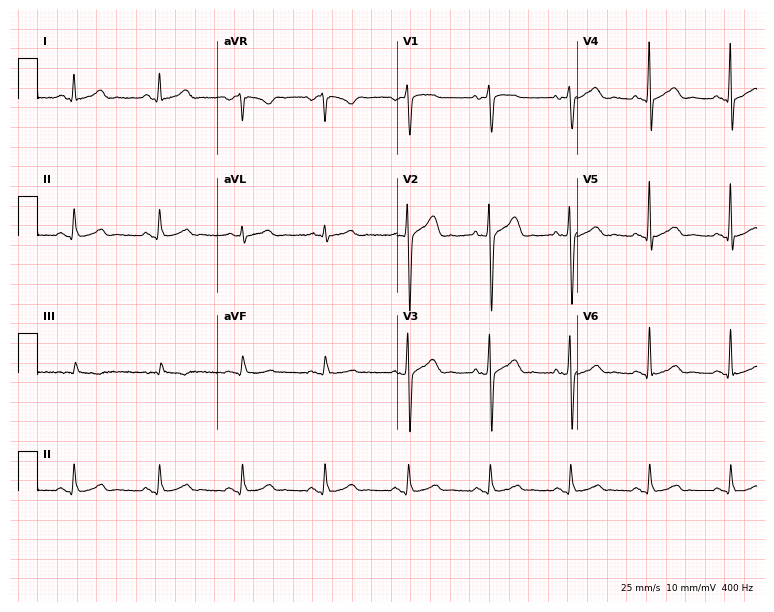
Resting 12-lead electrocardiogram. Patient: a male, 47 years old. Read as a normal ECG.